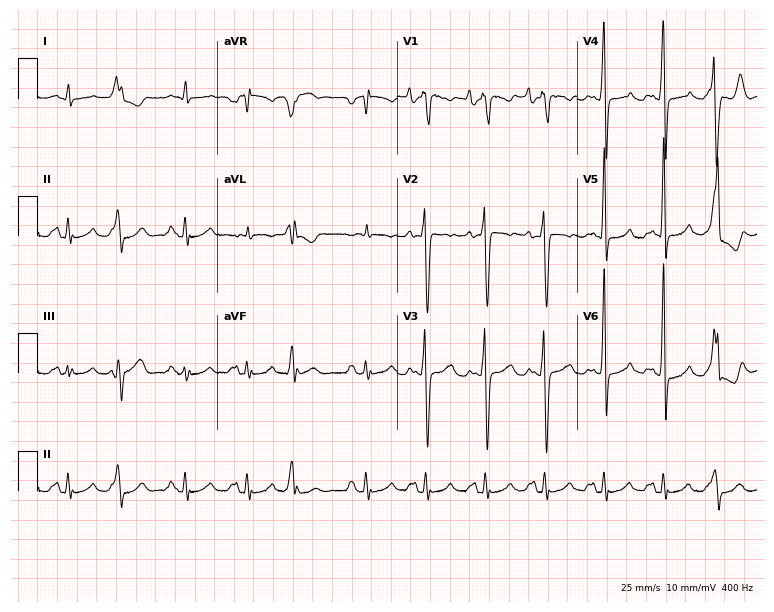
ECG (7.3-second recording at 400 Hz) — a male, 60 years old. Screened for six findings — first-degree AV block, right bundle branch block (RBBB), left bundle branch block (LBBB), sinus bradycardia, atrial fibrillation (AF), sinus tachycardia — none is recorded. Findings outside these six are not listed.